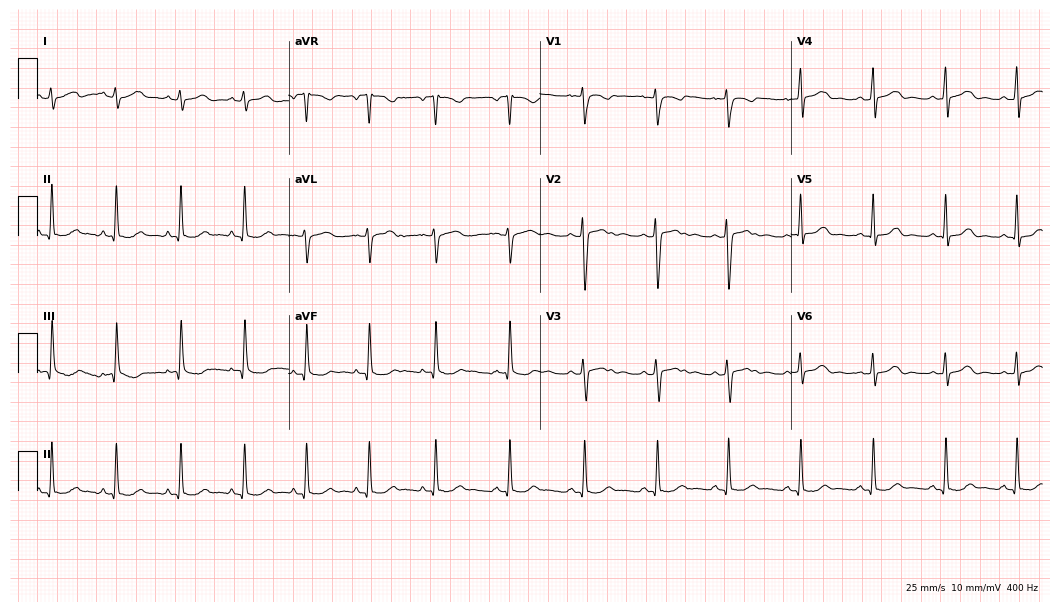
ECG — a 21-year-old female. Labelled as a normal ECG.